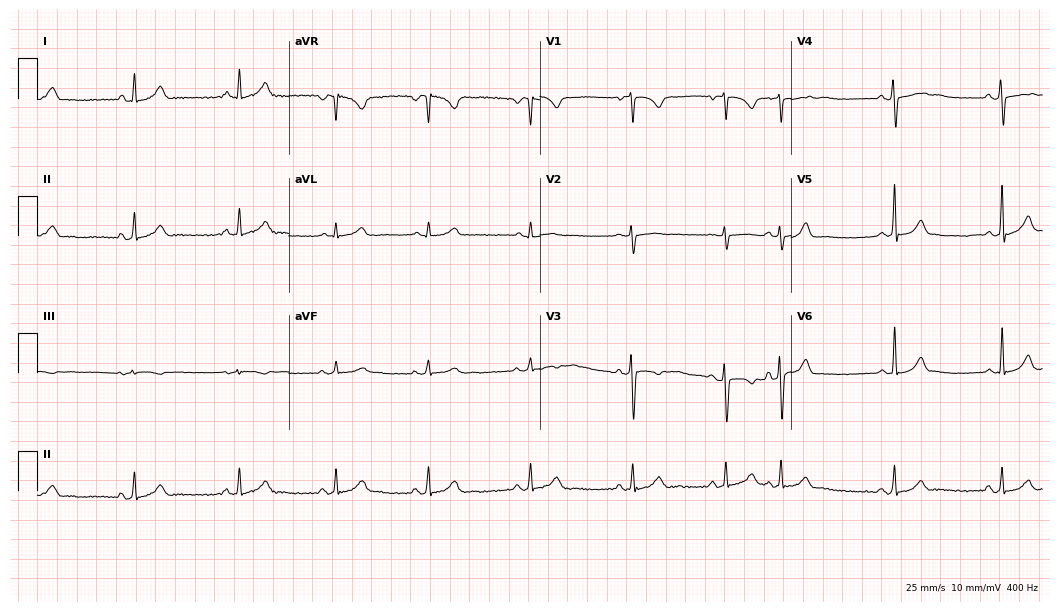
12-lead ECG from a 17-year-old woman. Screened for six findings — first-degree AV block, right bundle branch block (RBBB), left bundle branch block (LBBB), sinus bradycardia, atrial fibrillation (AF), sinus tachycardia — none is recorded. Findings outside these six are not listed.